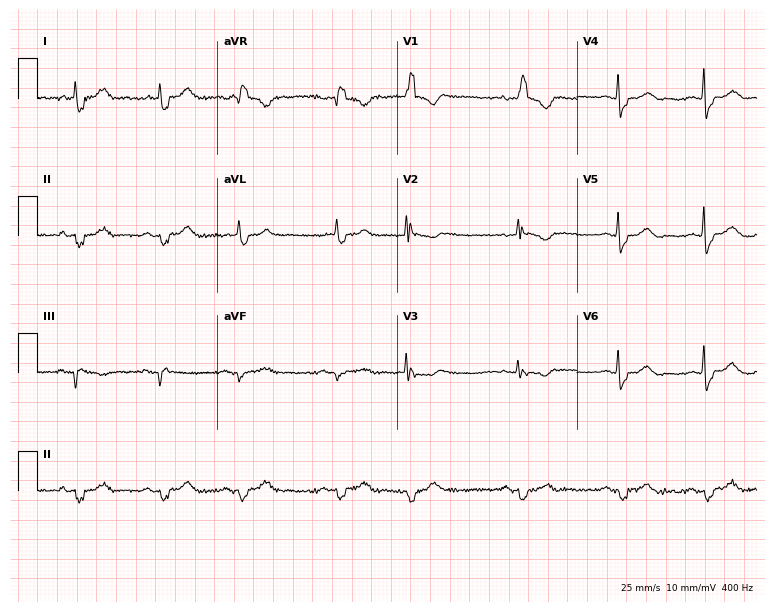
ECG (7.3-second recording at 400 Hz) — a woman, 80 years old. Screened for six findings — first-degree AV block, right bundle branch block, left bundle branch block, sinus bradycardia, atrial fibrillation, sinus tachycardia — none is recorded. Other findings, if any, are not listed.